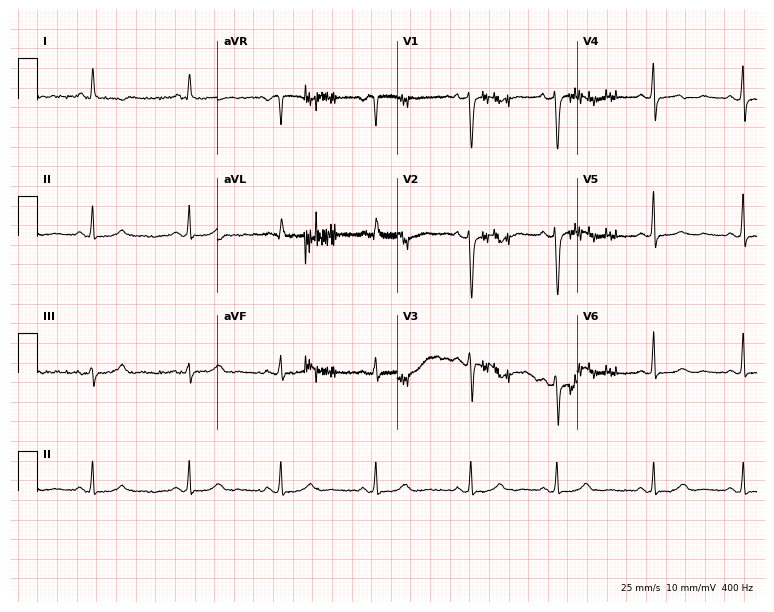
Resting 12-lead electrocardiogram. Patient: a woman, 58 years old. None of these six findings is recorded: first-degree AV block, right bundle branch block, left bundle branch block, sinus bradycardia, atrial fibrillation, sinus tachycardia. Other findings, if any, are not listed.